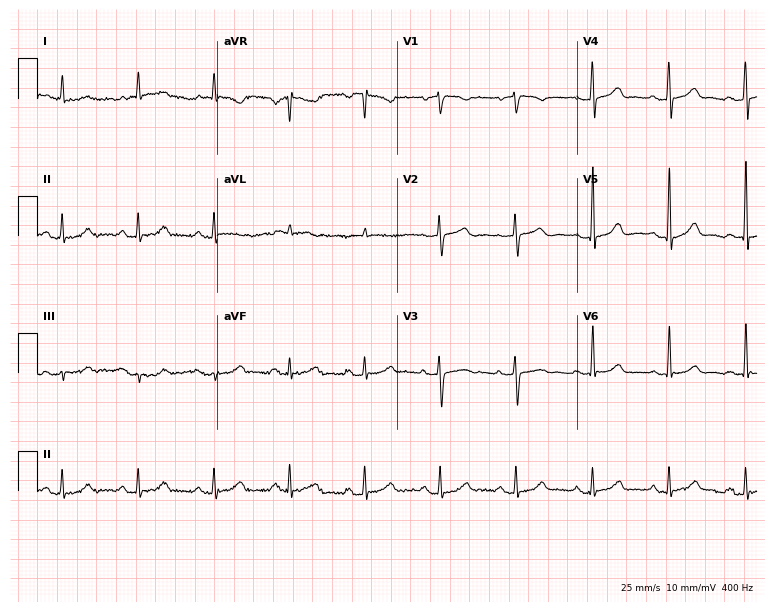
Electrocardiogram, an 80-year-old female. Overall reading on record: normal ECG.